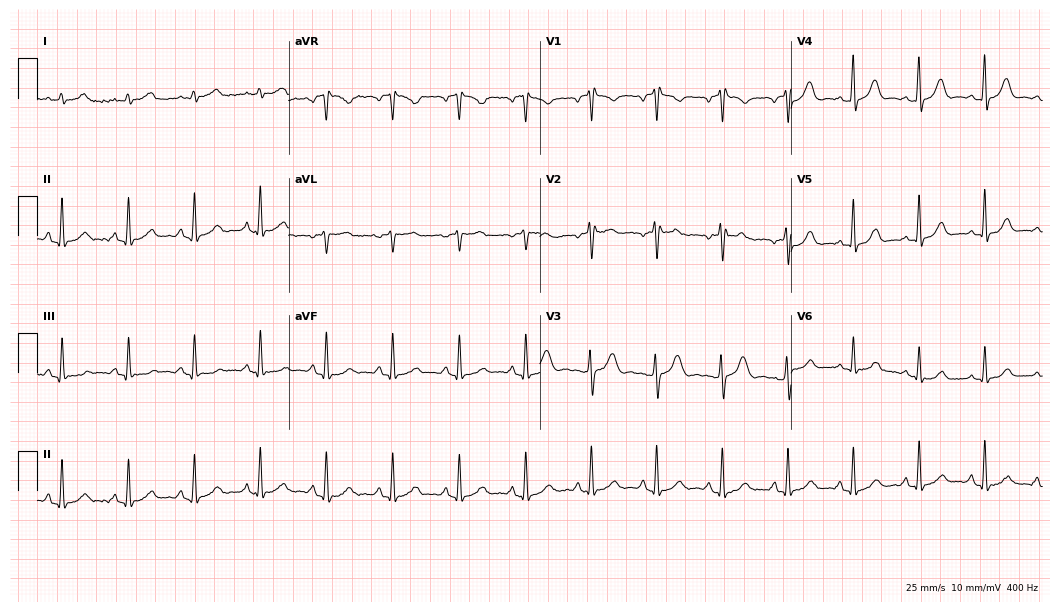
Resting 12-lead electrocardiogram (10.2-second recording at 400 Hz). Patient: a woman, 48 years old. Read as a normal ECG.